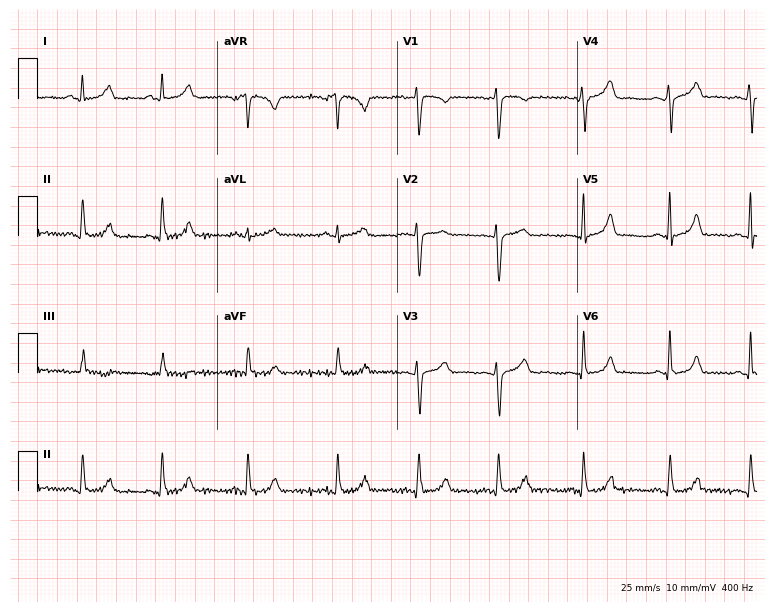
Standard 12-lead ECG recorded from a woman, 35 years old. None of these six findings is recorded: first-degree AV block, right bundle branch block, left bundle branch block, sinus bradycardia, atrial fibrillation, sinus tachycardia.